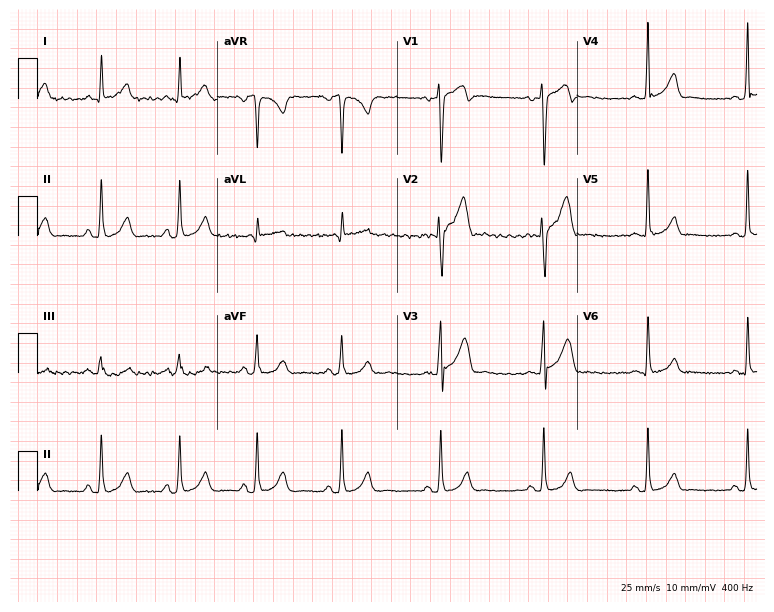
12-lead ECG from a male patient, 28 years old. No first-degree AV block, right bundle branch block (RBBB), left bundle branch block (LBBB), sinus bradycardia, atrial fibrillation (AF) or sinus tachycardia recorded for this tracing.